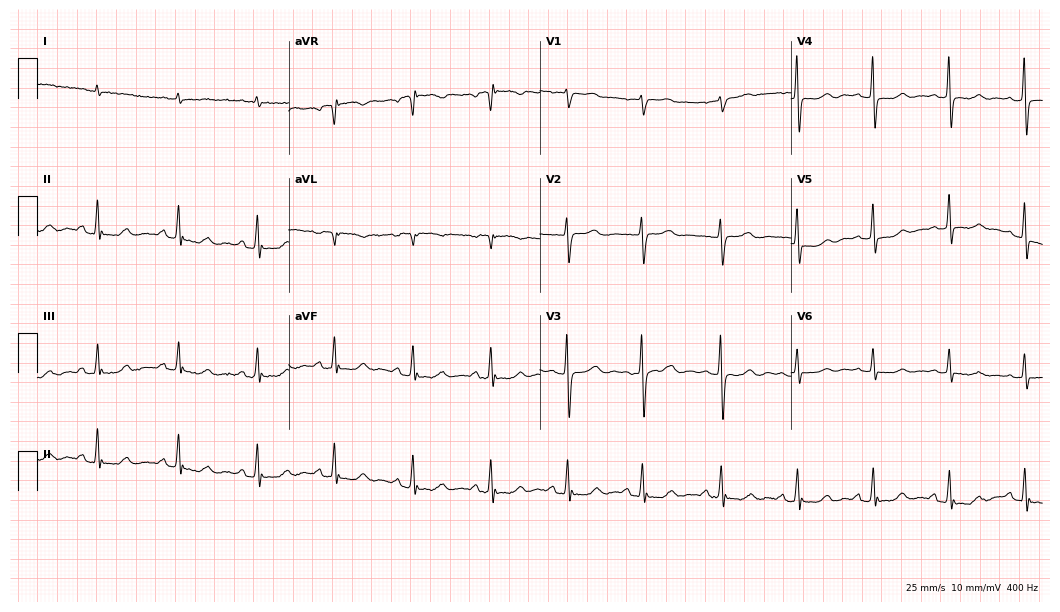
ECG (10.2-second recording at 400 Hz) — a 65-year-old female. Labelled as a normal ECG.